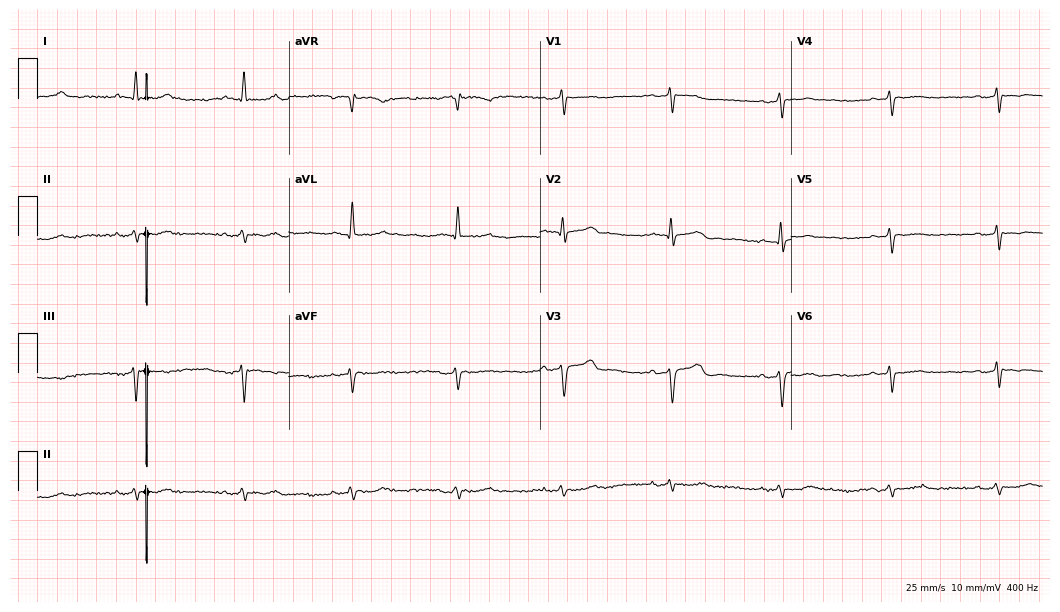
Standard 12-lead ECG recorded from a male, 67 years old (10.2-second recording at 400 Hz). None of these six findings is recorded: first-degree AV block, right bundle branch block, left bundle branch block, sinus bradycardia, atrial fibrillation, sinus tachycardia.